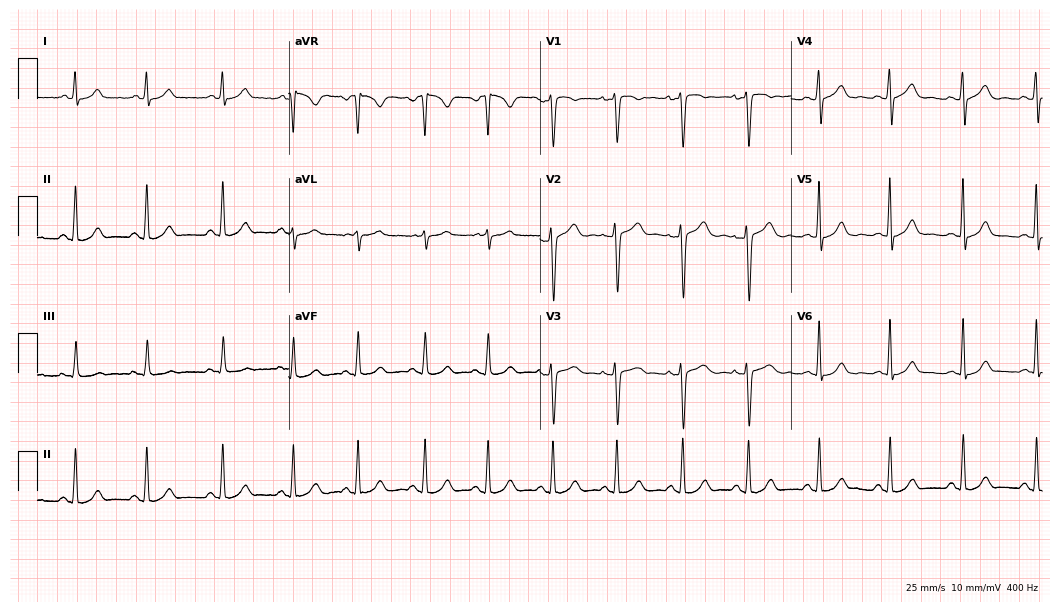
12-lead ECG from a female patient, 25 years old (10.2-second recording at 400 Hz). Recorded interpretation: within normal limits.